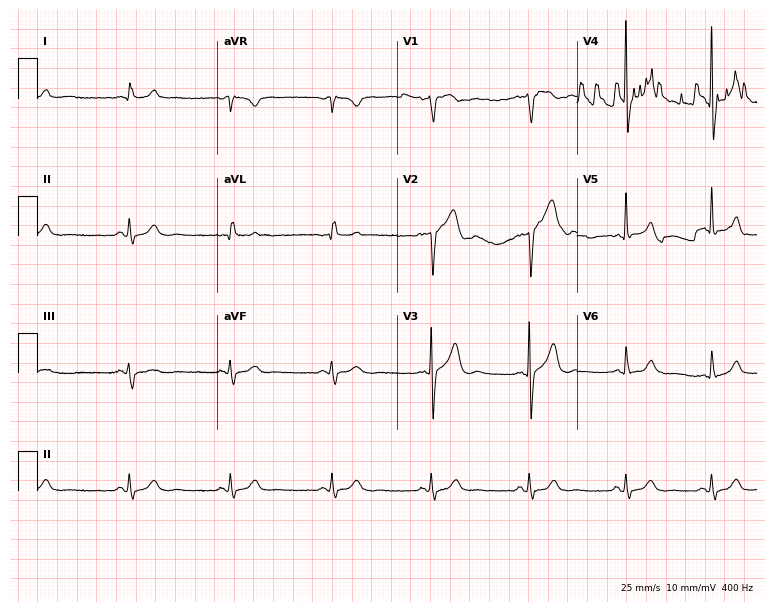
ECG — a male, 64 years old. Screened for six findings — first-degree AV block, right bundle branch block, left bundle branch block, sinus bradycardia, atrial fibrillation, sinus tachycardia — none is recorded.